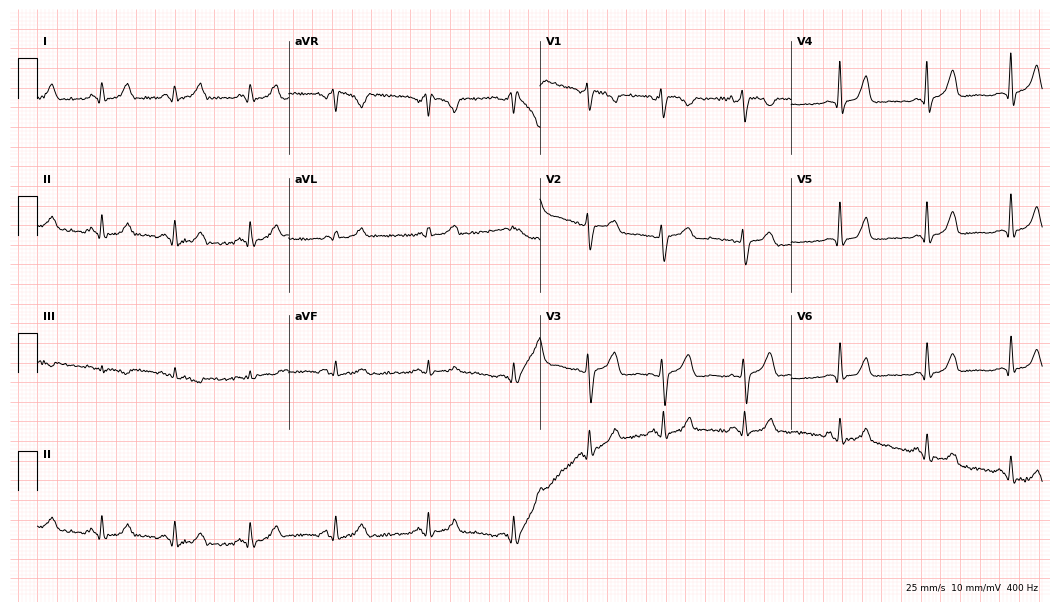
Standard 12-lead ECG recorded from a female patient, 35 years old. None of these six findings is recorded: first-degree AV block, right bundle branch block (RBBB), left bundle branch block (LBBB), sinus bradycardia, atrial fibrillation (AF), sinus tachycardia.